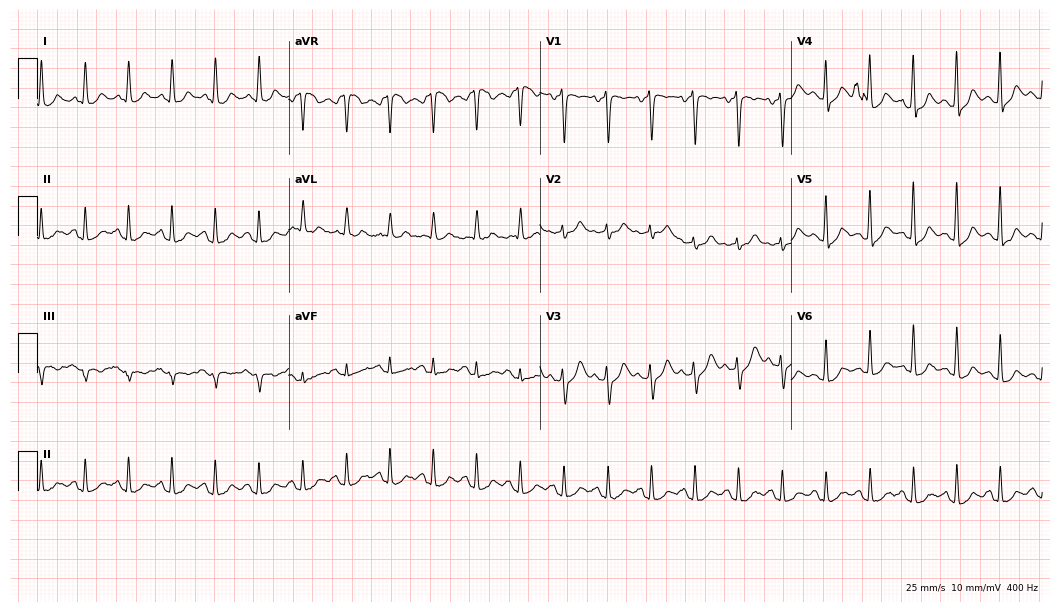
12-lead ECG from a female patient, 67 years old. Shows sinus tachycardia (a sinus rate of 100 beats per minute or more).